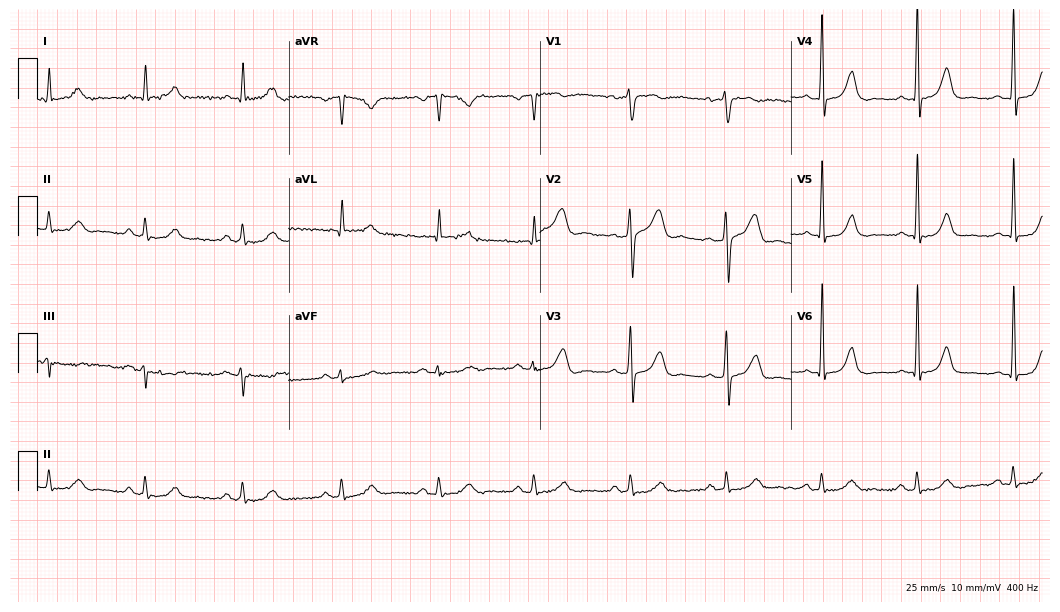
12-lead ECG (10.2-second recording at 400 Hz) from a 66-year-old male. Labelled as a normal ECG.